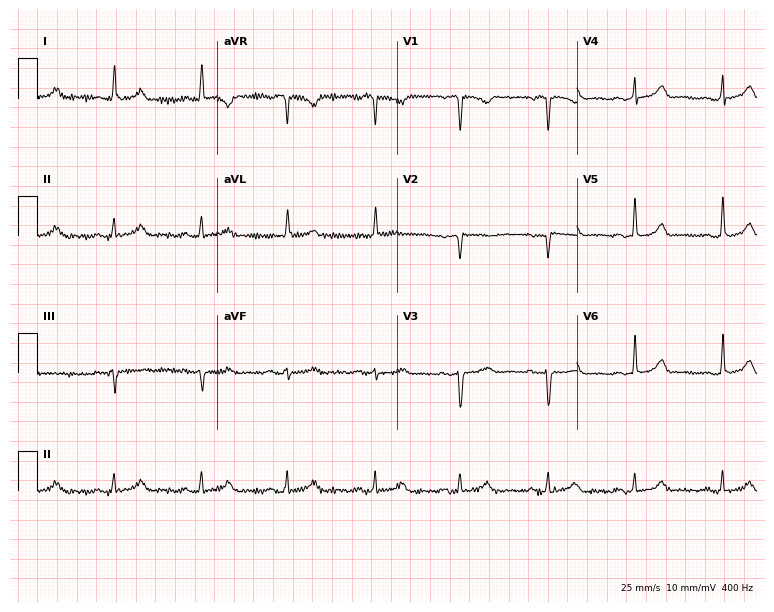
12-lead ECG (7.3-second recording at 400 Hz) from a 48-year-old female patient. Screened for six findings — first-degree AV block, right bundle branch block, left bundle branch block, sinus bradycardia, atrial fibrillation, sinus tachycardia — none is recorded.